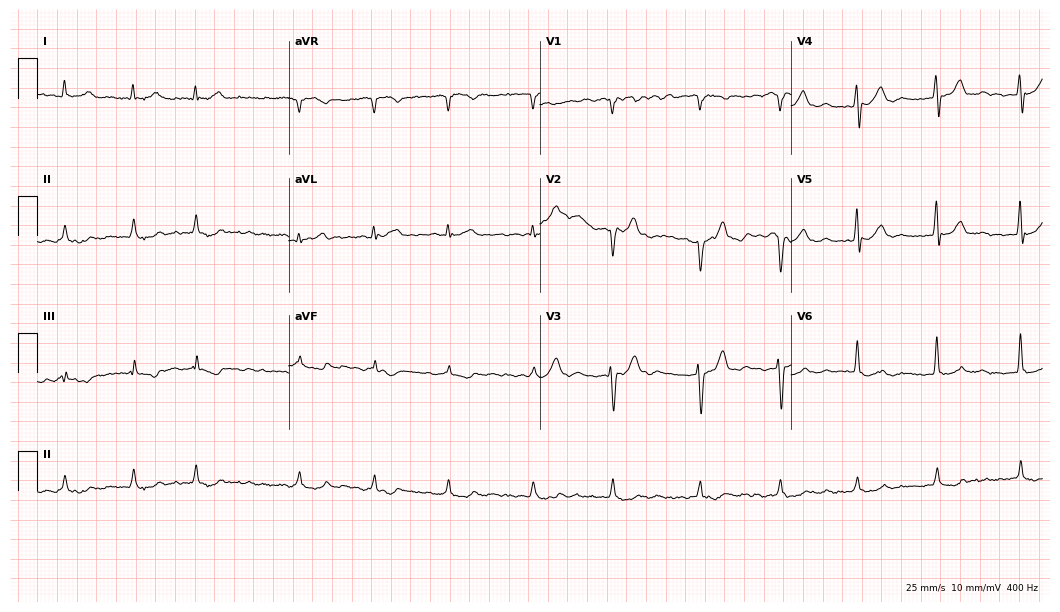
Resting 12-lead electrocardiogram. Patient: a 75-year-old man. The tracing shows first-degree AV block, atrial fibrillation.